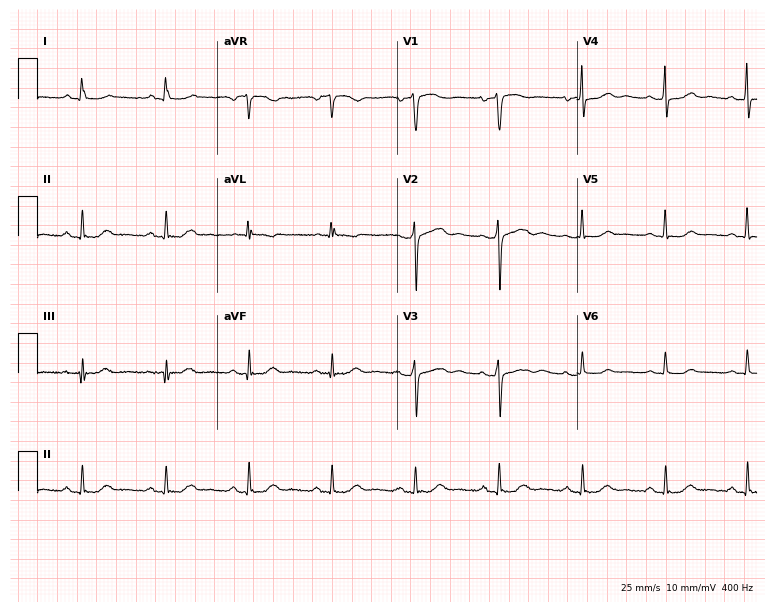
ECG — a female, 67 years old. Labelled as a normal ECG.